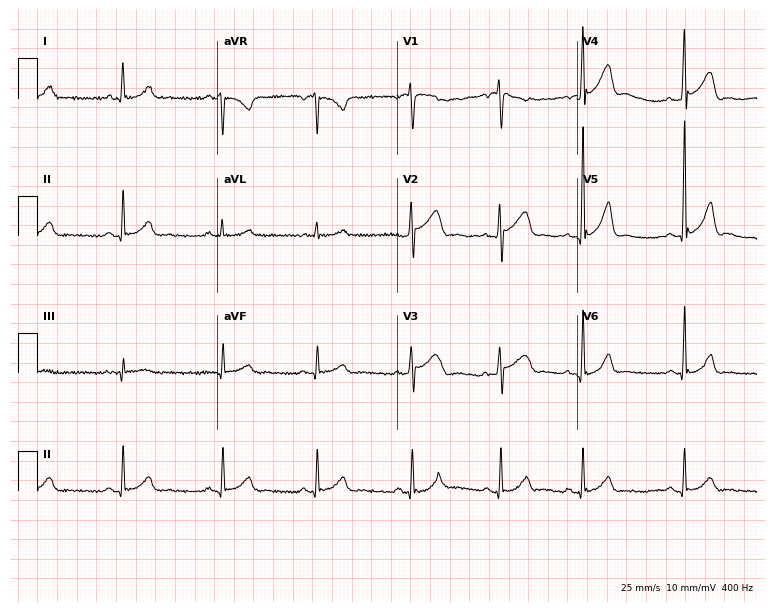
Electrocardiogram (7.3-second recording at 400 Hz), a man, 46 years old. Of the six screened findings (first-degree AV block, right bundle branch block (RBBB), left bundle branch block (LBBB), sinus bradycardia, atrial fibrillation (AF), sinus tachycardia), none is recorded.